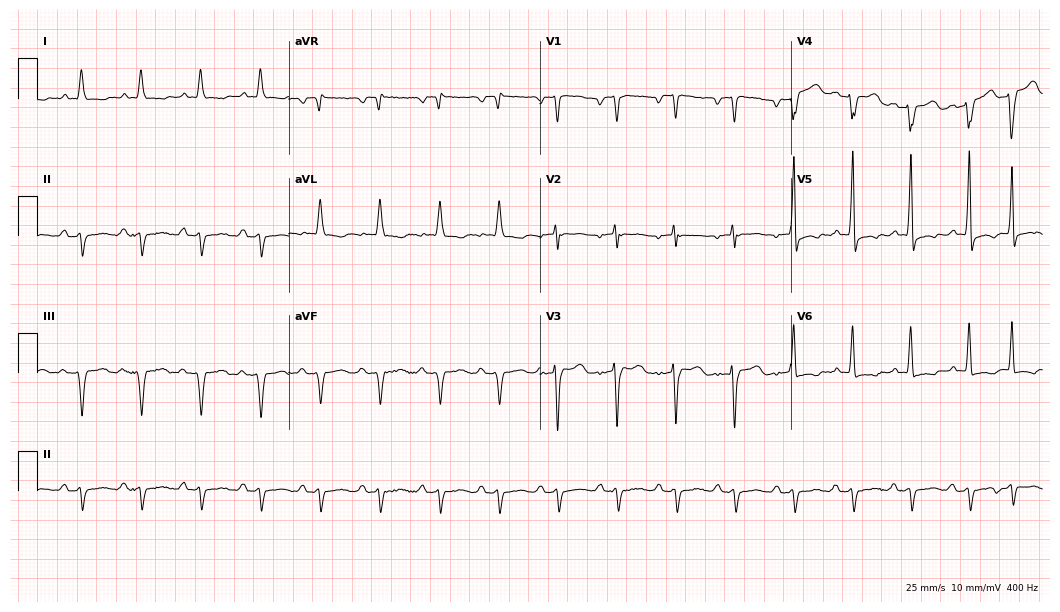
Resting 12-lead electrocardiogram. Patient: a male, 84 years old. None of these six findings is recorded: first-degree AV block, right bundle branch block, left bundle branch block, sinus bradycardia, atrial fibrillation, sinus tachycardia.